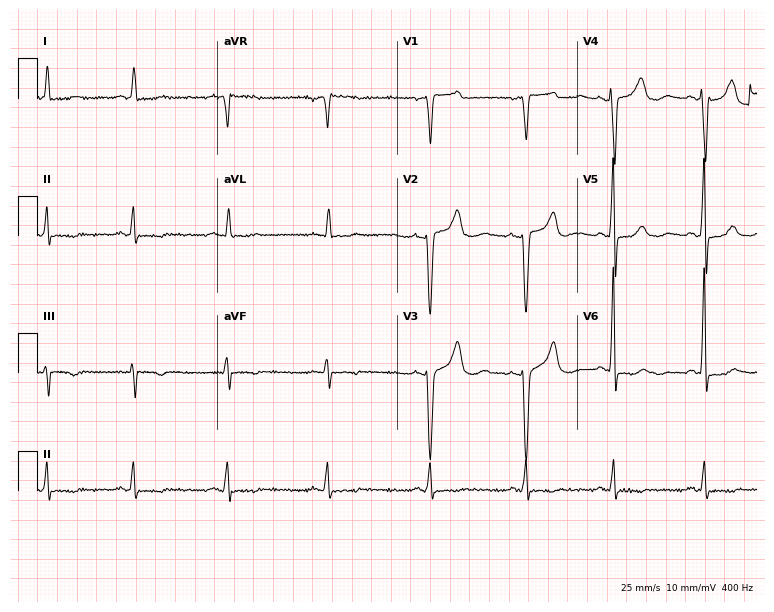
12-lead ECG from a woman, 31 years old (7.3-second recording at 400 Hz). No first-degree AV block, right bundle branch block, left bundle branch block, sinus bradycardia, atrial fibrillation or sinus tachycardia recorded for this tracing. Findings outside these six are not listed.